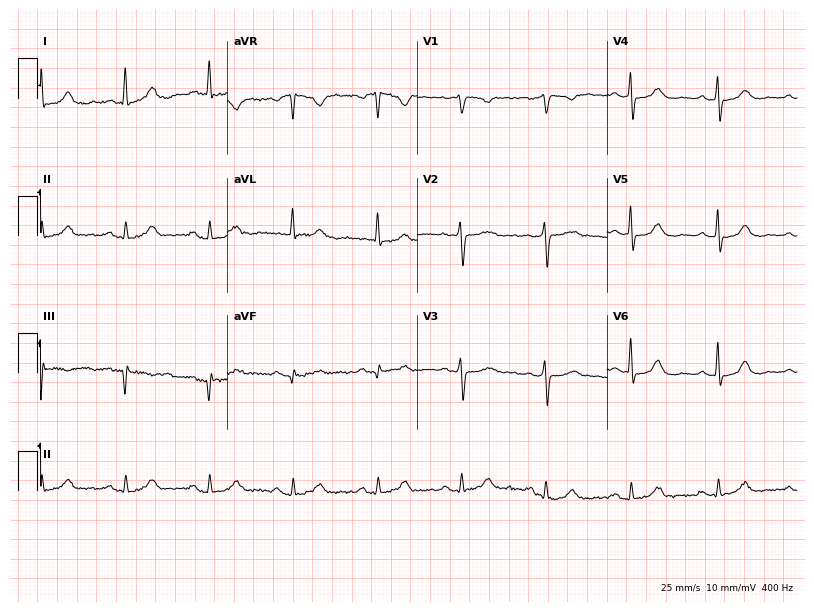
Resting 12-lead electrocardiogram. Patient: a woman, 66 years old. Read as a normal ECG.